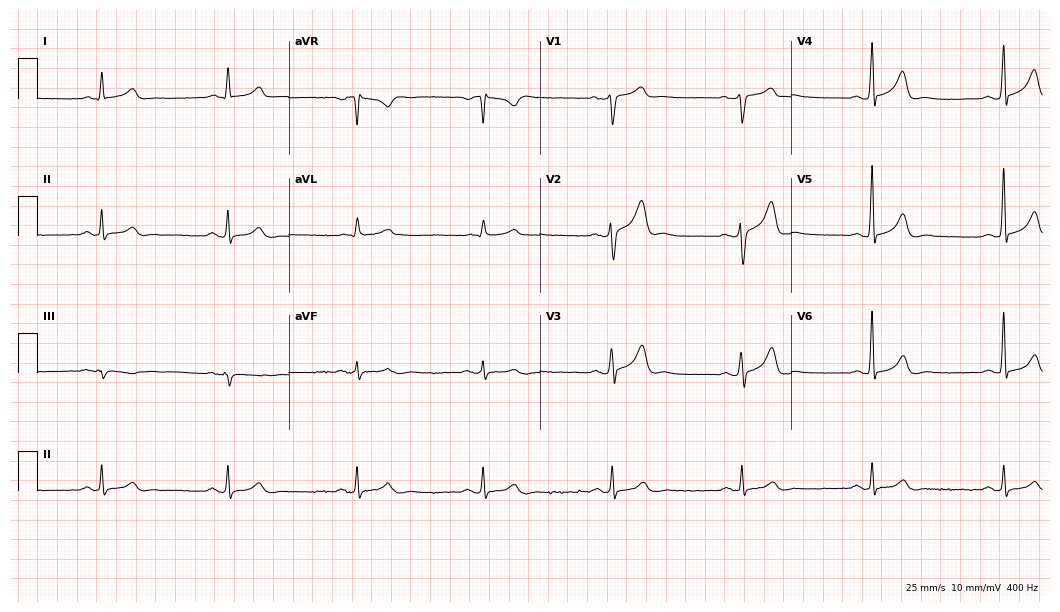
ECG — a 61-year-old man. Labelled as a normal ECG.